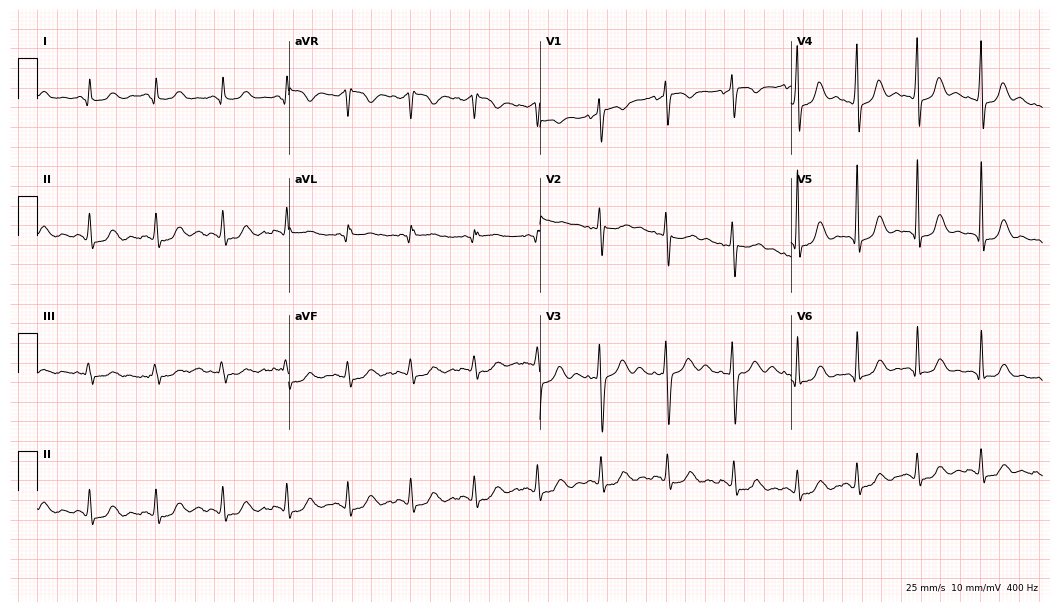
Standard 12-lead ECG recorded from a female, 51 years old. None of these six findings is recorded: first-degree AV block, right bundle branch block, left bundle branch block, sinus bradycardia, atrial fibrillation, sinus tachycardia.